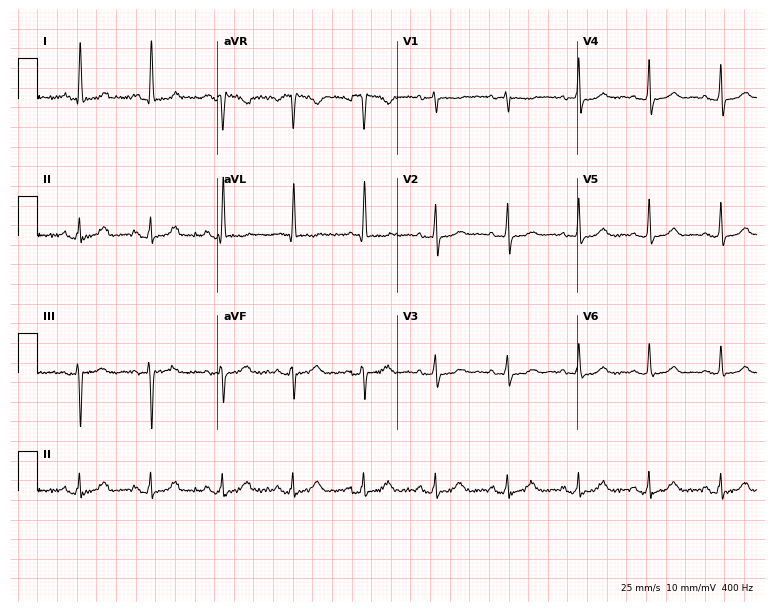
Electrocardiogram, a 62-year-old woman. Overall reading on record: normal ECG.